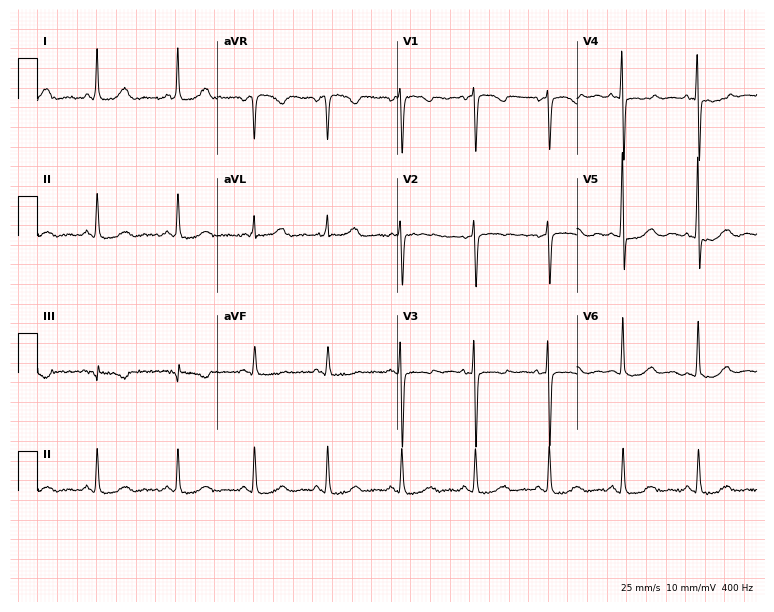
ECG — a female patient, 83 years old. Labelled as a normal ECG.